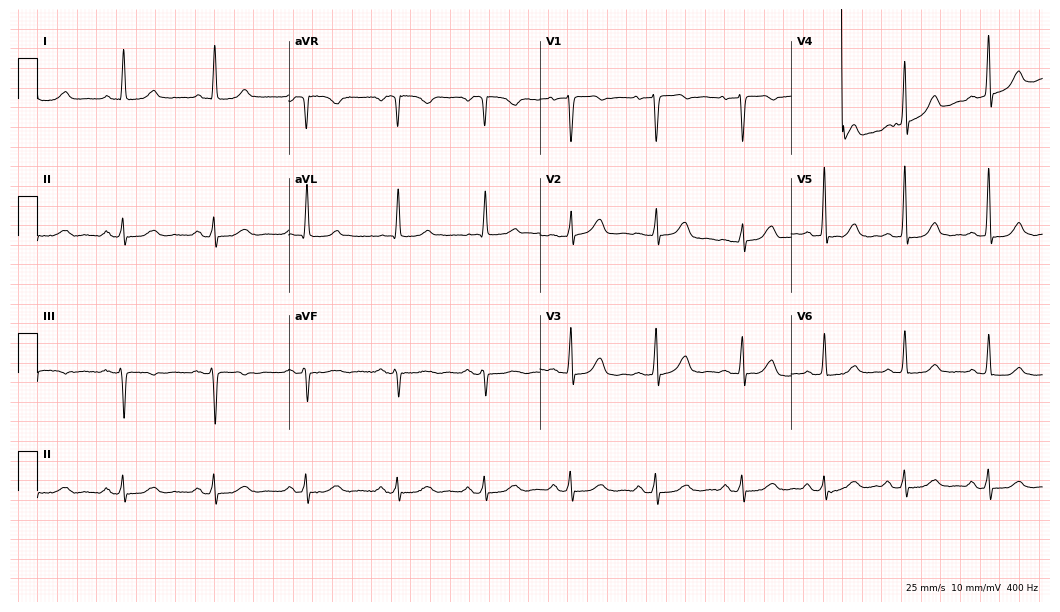
Standard 12-lead ECG recorded from a woman, 66 years old (10.2-second recording at 400 Hz). None of these six findings is recorded: first-degree AV block, right bundle branch block, left bundle branch block, sinus bradycardia, atrial fibrillation, sinus tachycardia. Only these six findings were labelled.